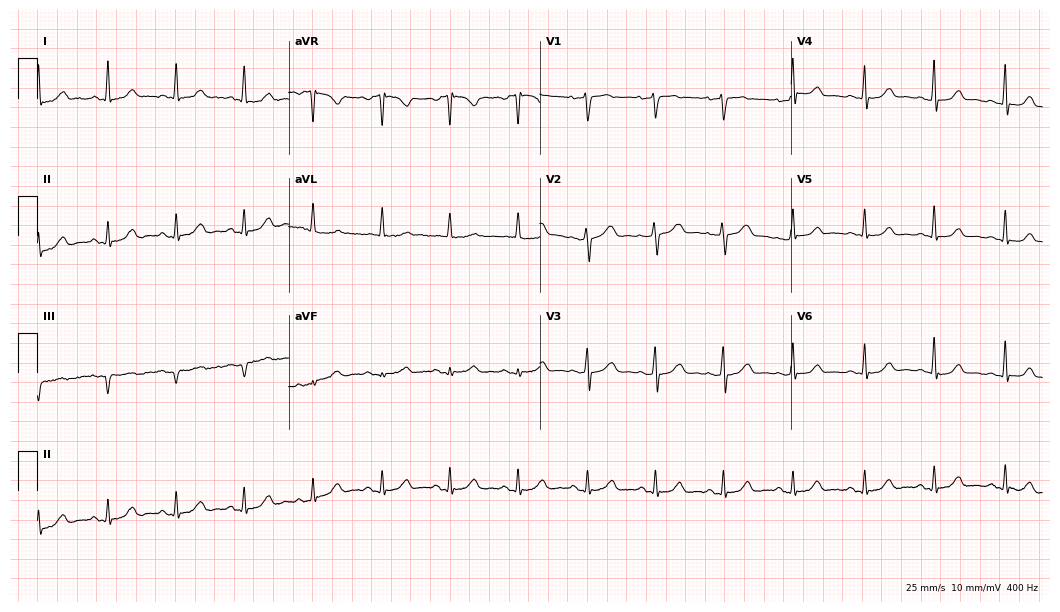
12-lead ECG (10.2-second recording at 400 Hz) from a woman, 47 years old. Labelled as a normal ECG.